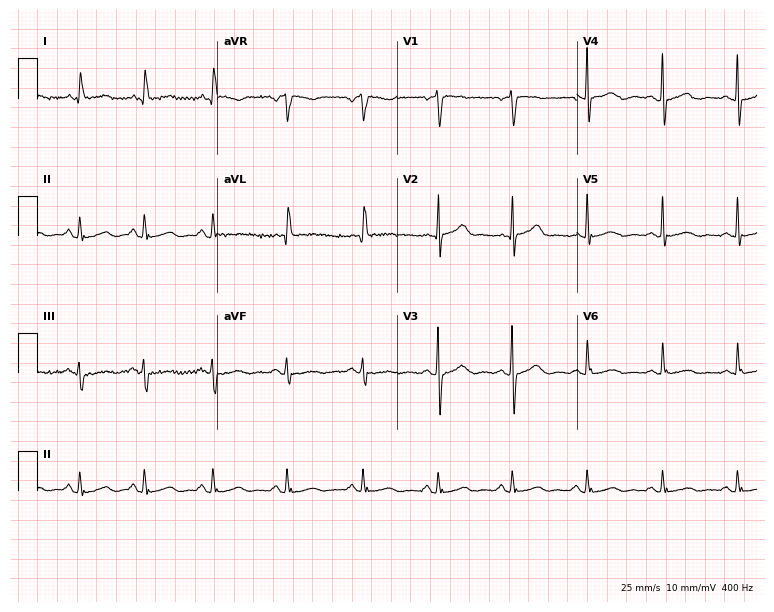
Standard 12-lead ECG recorded from a woman, 72 years old. Read as a normal ECG.